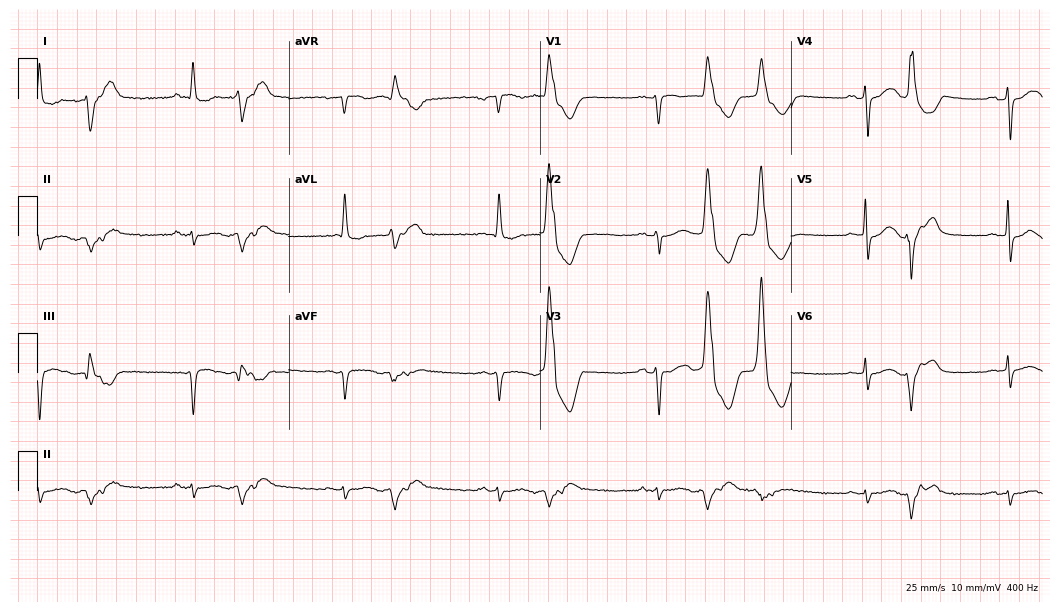
Resting 12-lead electrocardiogram (10.2-second recording at 400 Hz). Patient: an 84-year-old male. None of these six findings is recorded: first-degree AV block, right bundle branch block, left bundle branch block, sinus bradycardia, atrial fibrillation, sinus tachycardia. Other findings, if any, are not listed.